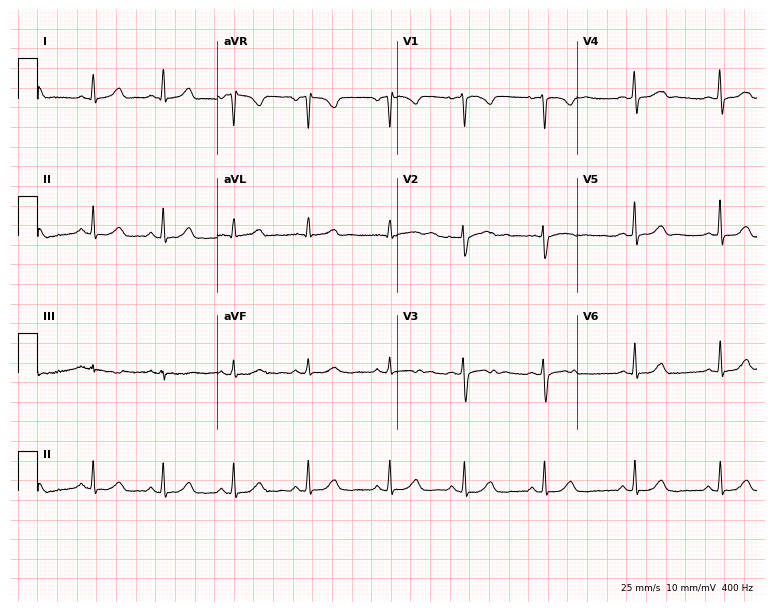
12-lead ECG from a woman, 19 years old. No first-degree AV block, right bundle branch block, left bundle branch block, sinus bradycardia, atrial fibrillation or sinus tachycardia recorded for this tracing.